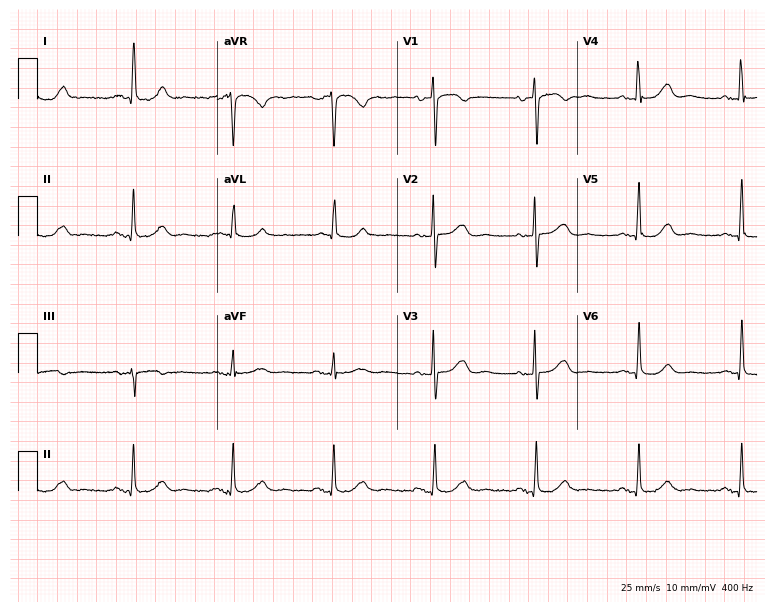
12-lead ECG from a female, 78 years old. Screened for six findings — first-degree AV block, right bundle branch block, left bundle branch block, sinus bradycardia, atrial fibrillation, sinus tachycardia — none is recorded. Only these six findings were labelled.